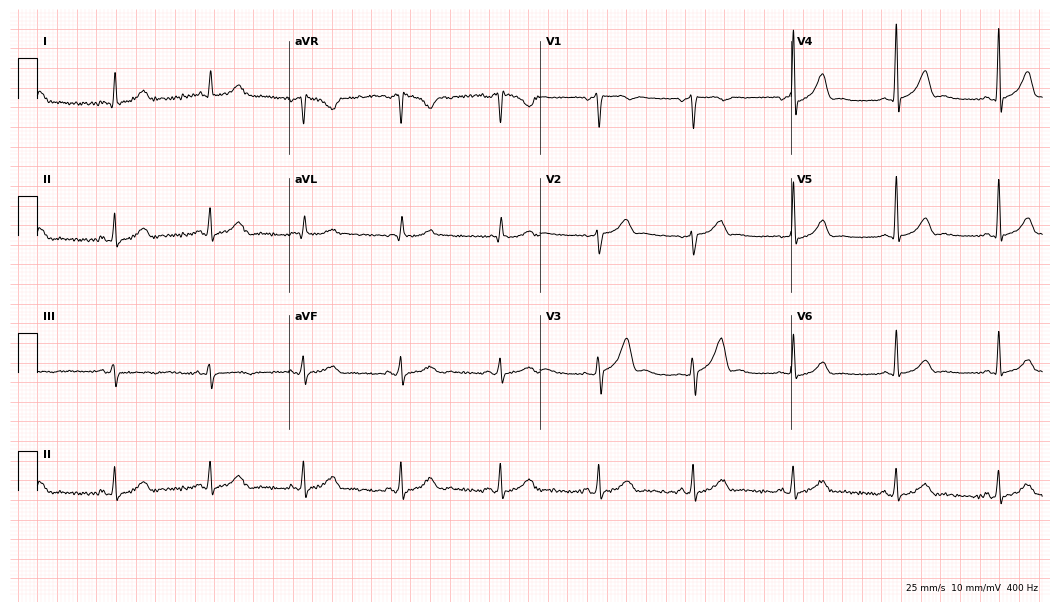
ECG (10.2-second recording at 400 Hz) — a man, 58 years old. Labelled as a normal ECG.